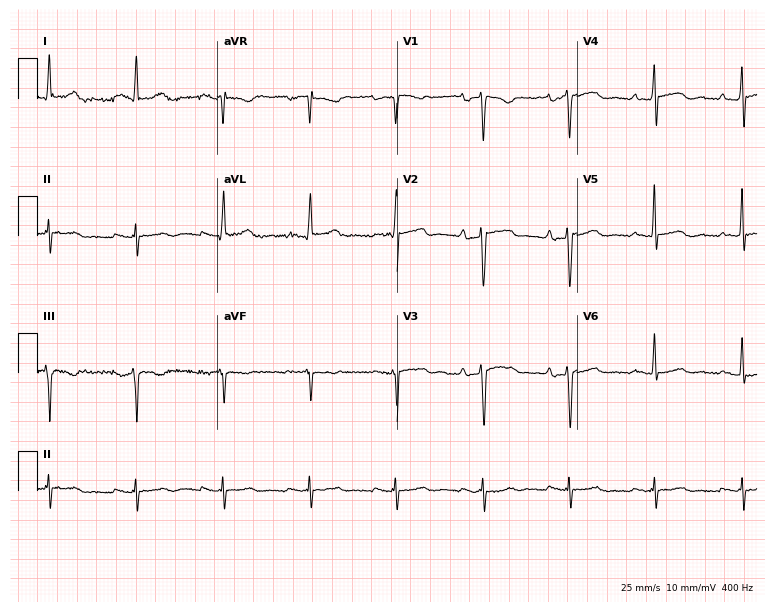
Standard 12-lead ECG recorded from a man, 69 years old (7.3-second recording at 400 Hz). None of these six findings is recorded: first-degree AV block, right bundle branch block, left bundle branch block, sinus bradycardia, atrial fibrillation, sinus tachycardia. Only these six findings were labelled.